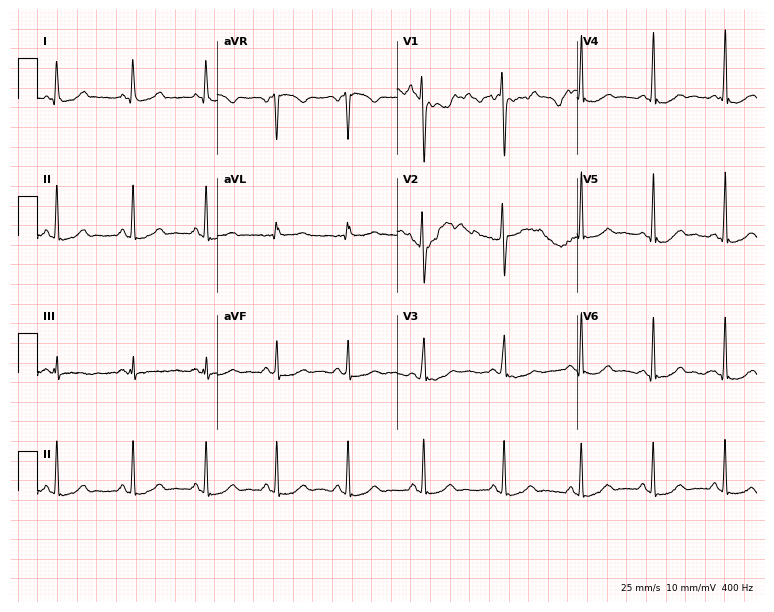
Electrocardiogram, a female patient, 24 years old. Overall reading on record: normal ECG.